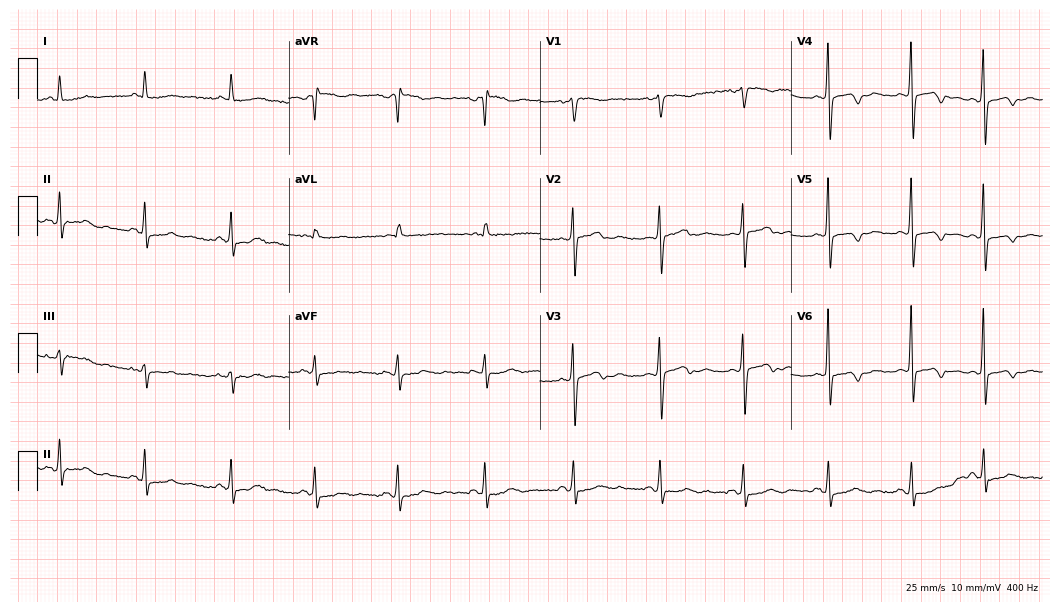
Resting 12-lead electrocardiogram (10.2-second recording at 400 Hz). Patient: a 52-year-old woman. None of these six findings is recorded: first-degree AV block, right bundle branch block (RBBB), left bundle branch block (LBBB), sinus bradycardia, atrial fibrillation (AF), sinus tachycardia. Findings outside these six are not listed.